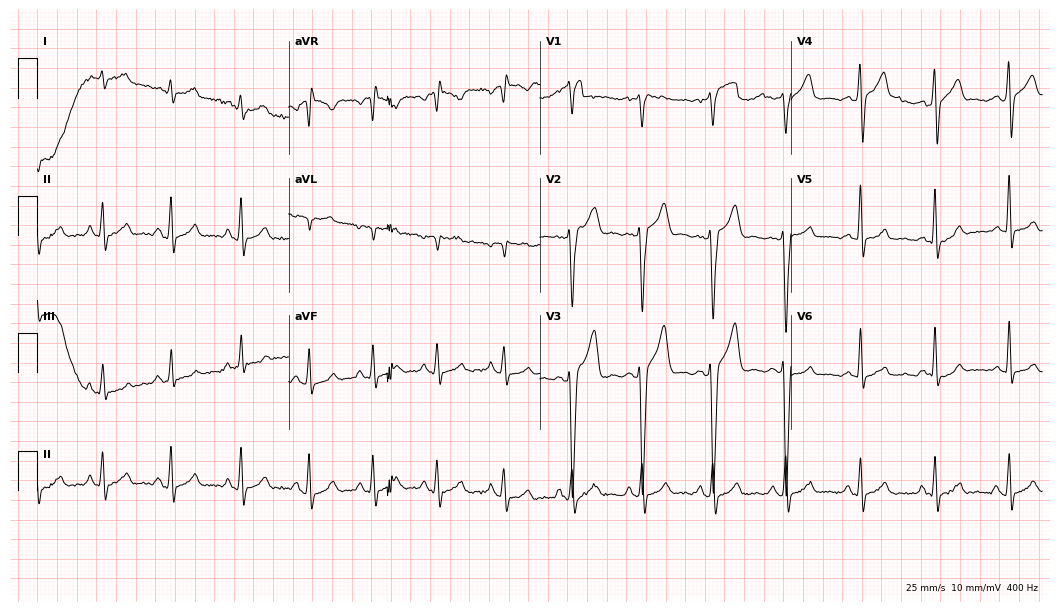
Resting 12-lead electrocardiogram (10.2-second recording at 400 Hz). Patient: a 35-year-old male. Read as a normal ECG.